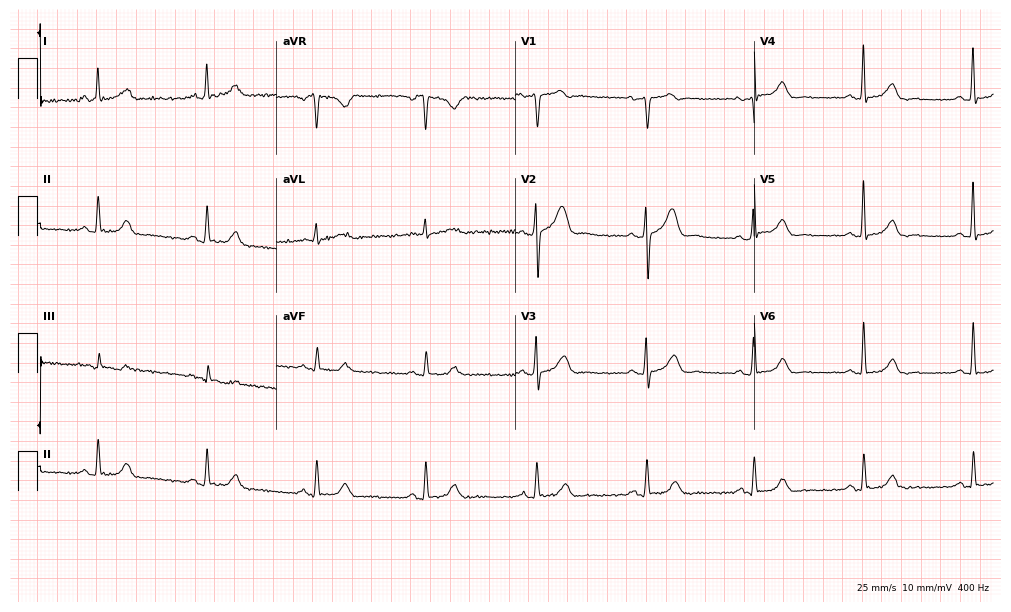
ECG — a man, 51 years old. Labelled as a normal ECG.